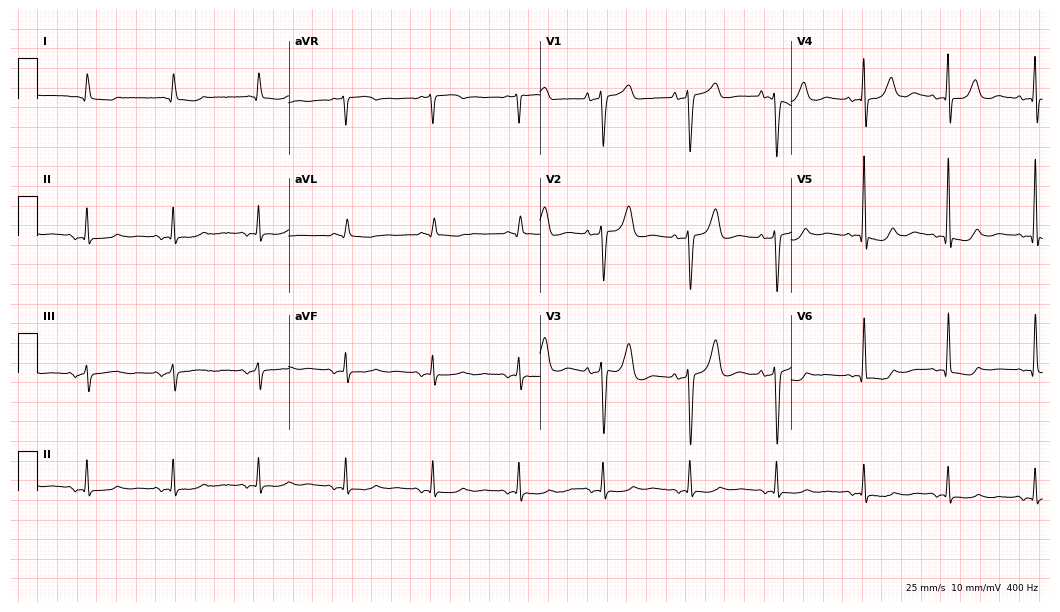
12-lead ECG from a female, 78 years old. Screened for six findings — first-degree AV block, right bundle branch block, left bundle branch block, sinus bradycardia, atrial fibrillation, sinus tachycardia — none is recorded.